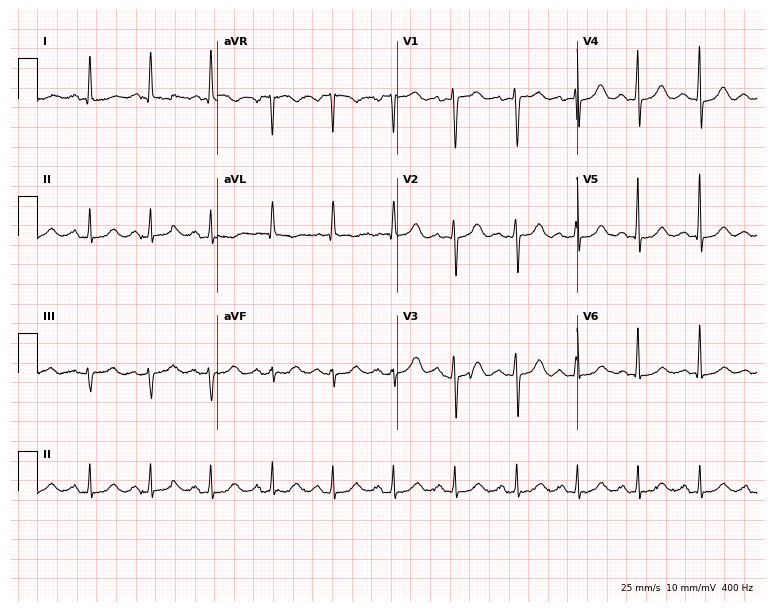
Electrocardiogram, a female patient, 76 years old. Overall reading on record: normal ECG.